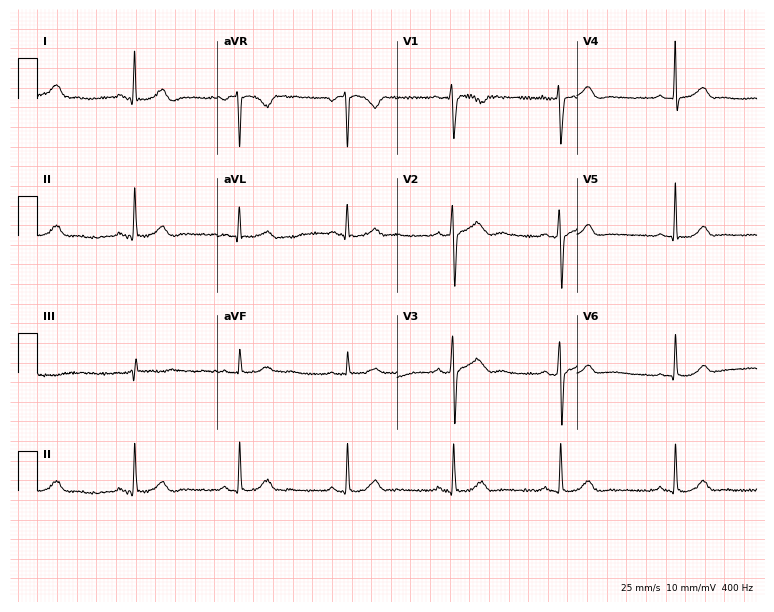
ECG — a 32-year-old female patient. Labelled as a normal ECG.